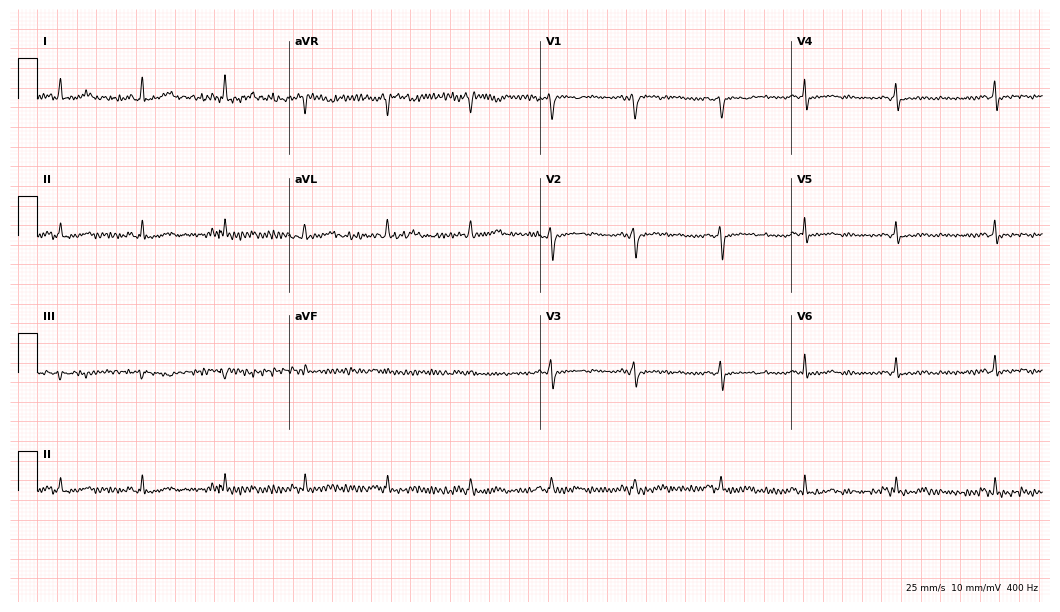
12-lead ECG (10.2-second recording at 400 Hz) from a female, 38 years old. Screened for six findings — first-degree AV block, right bundle branch block, left bundle branch block, sinus bradycardia, atrial fibrillation, sinus tachycardia — none is recorded. Findings outside these six are not listed.